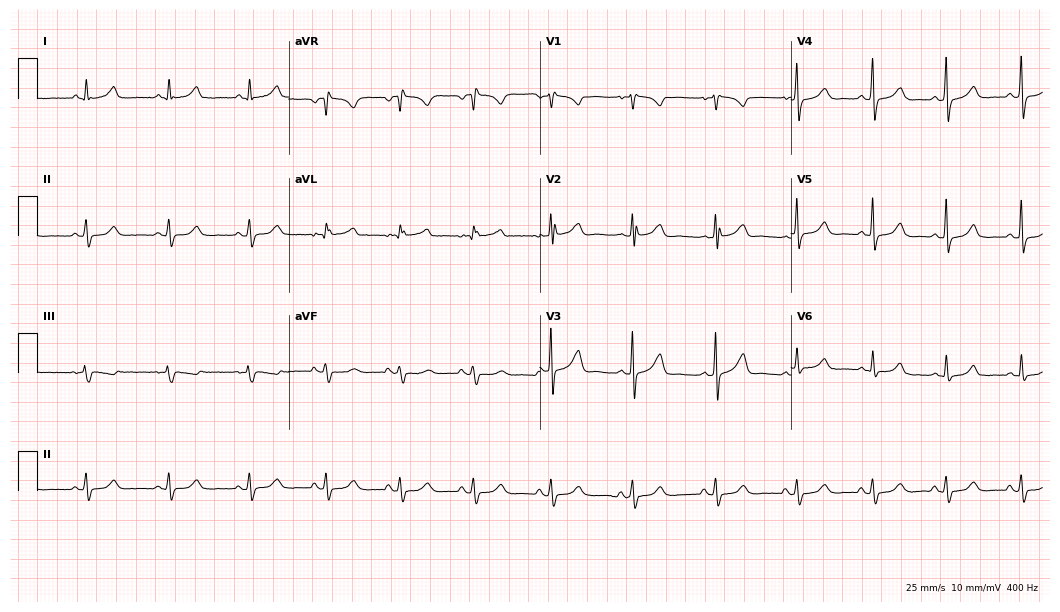
Electrocardiogram, a 38-year-old woman. Of the six screened findings (first-degree AV block, right bundle branch block (RBBB), left bundle branch block (LBBB), sinus bradycardia, atrial fibrillation (AF), sinus tachycardia), none is recorded. Only these six findings were labelled.